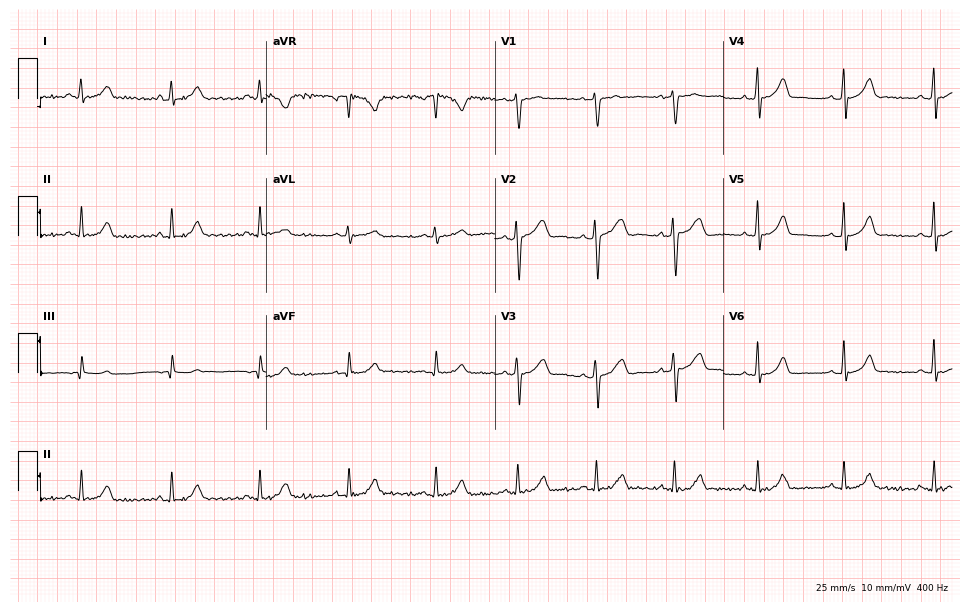
Resting 12-lead electrocardiogram. Patient: a 30-year-old female. None of these six findings is recorded: first-degree AV block, right bundle branch block, left bundle branch block, sinus bradycardia, atrial fibrillation, sinus tachycardia.